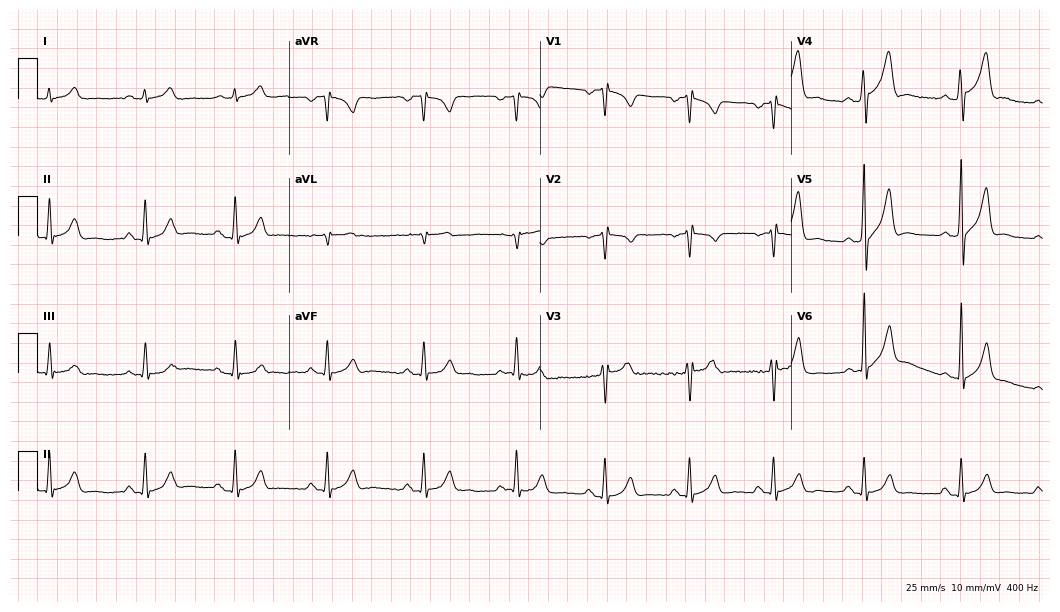
ECG (10.2-second recording at 400 Hz) — a 31-year-old man. Labelled as a normal ECG.